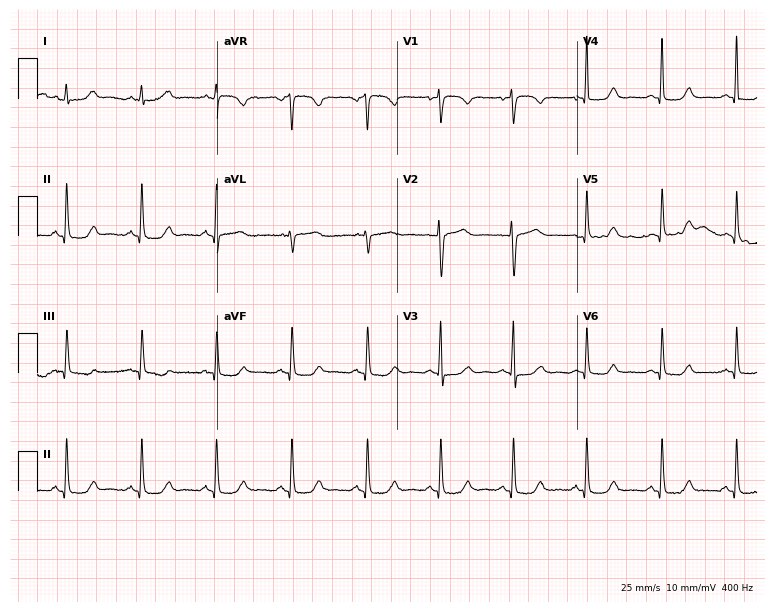
Electrocardiogram, a woman, 55 years old. Of the six screened findings (first-degree AV block, right bundle branch block, left bundle branch block, sinus bradycardia, atrial fibrillation, sinus tachycardia), none is recorded. Findings outside these six are not listed.